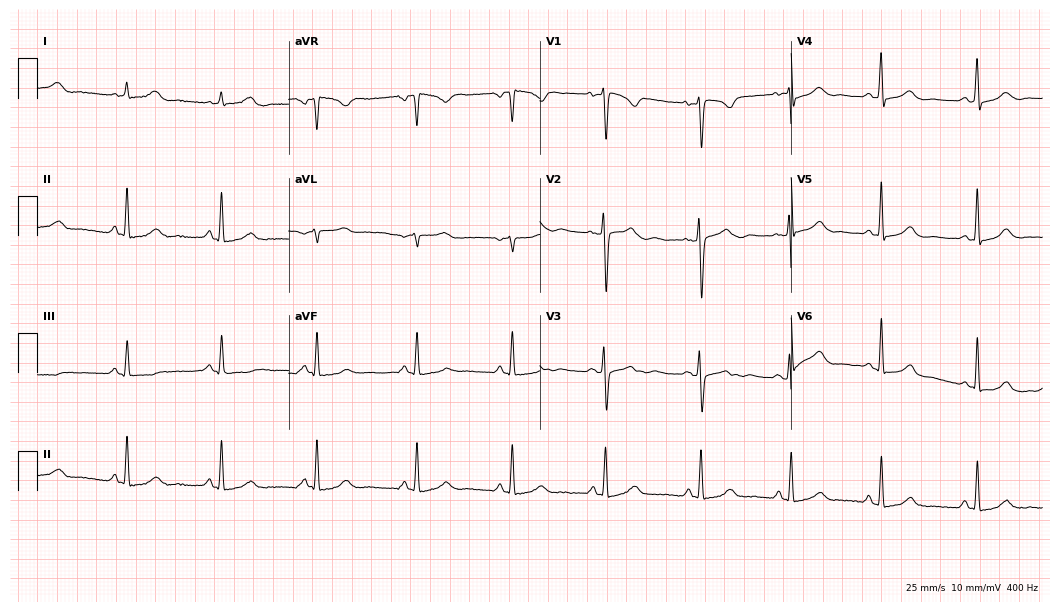
12-lead ECG from a woman, 36 years old. Labelled as a normal ECG.